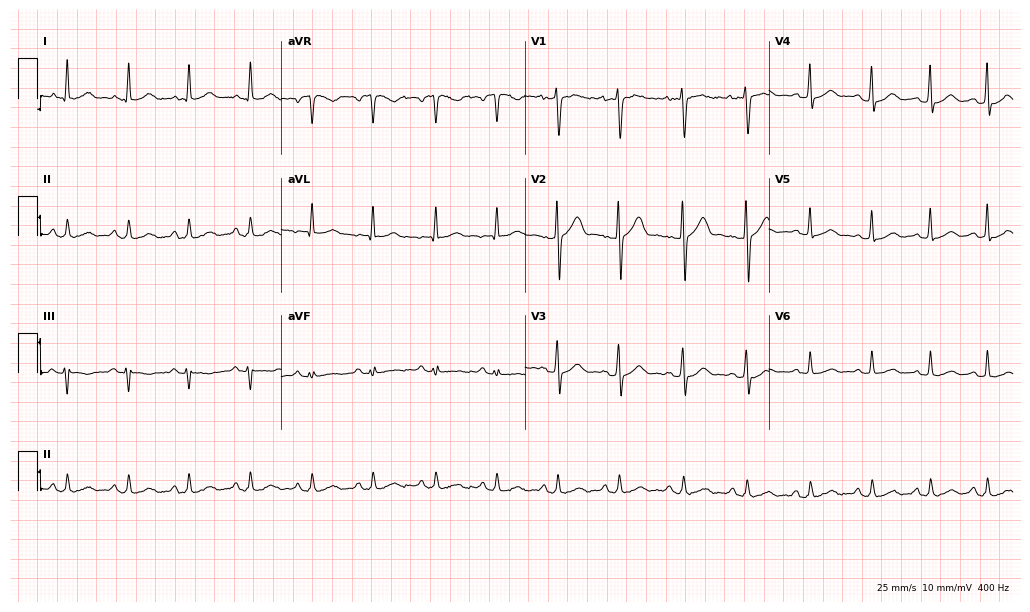
12-lead ECG from a man, 46 years old. Labelled as a normal ECG.